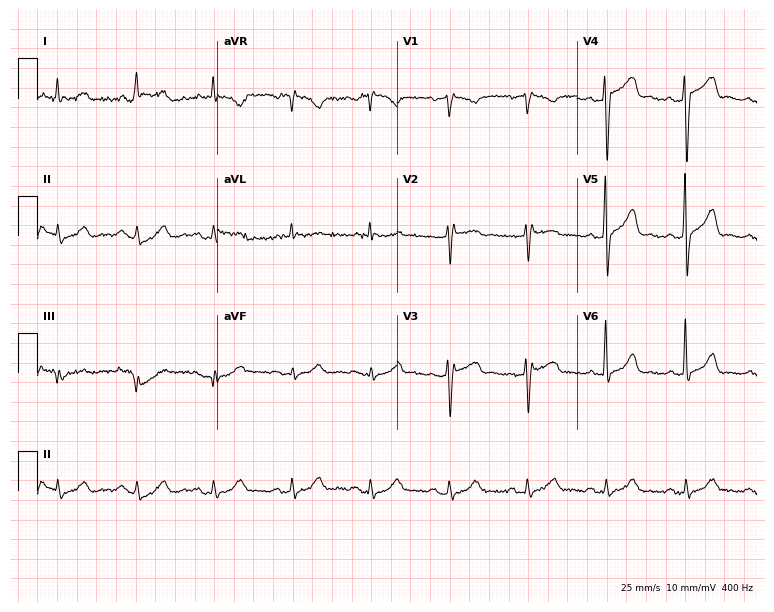
12-lead ECG from a male patient, 68 years old. No first-degree AV block, right bundle branch block (RBBB), left bundle branch block (LBBB), sinus bradycardia, atrial fibrillation (AF) or sinus tachycardia recorded for this tracing. Only these six findings were labelled.